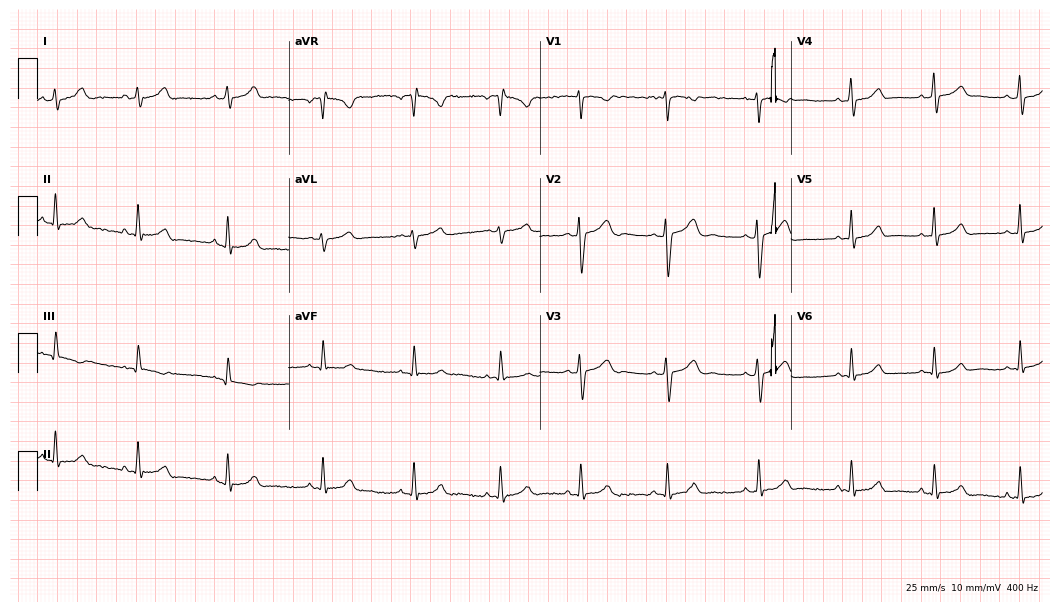
ECG — a female, 19 years old. Labelled as a normal ECG.